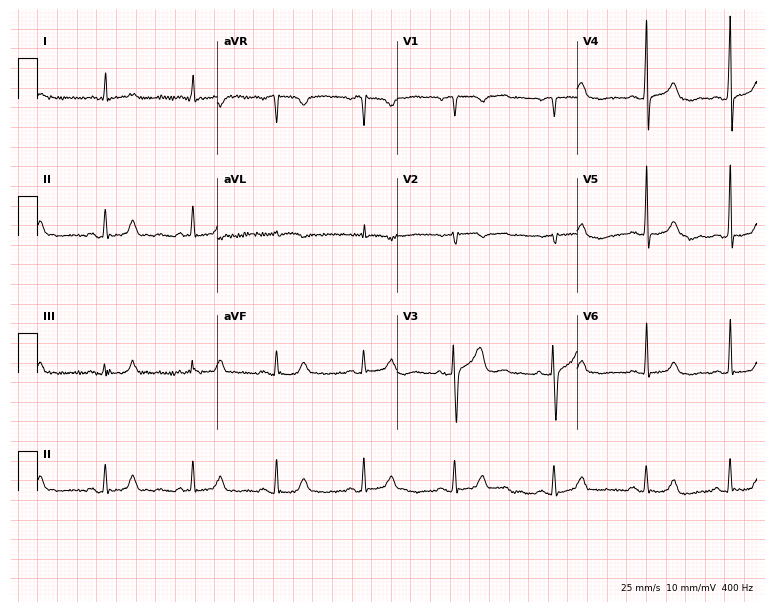
Electrocardiogram (7.3-second recording at 400 Hz), a 66-year-old female. Of the six screened findings (first-degree AV block, right bundle branch block (RBBB), left bundle branch block (LBBB), sinus bradycardia, atrial fibrillation (AF), sinus tachycardia), none is recorded.